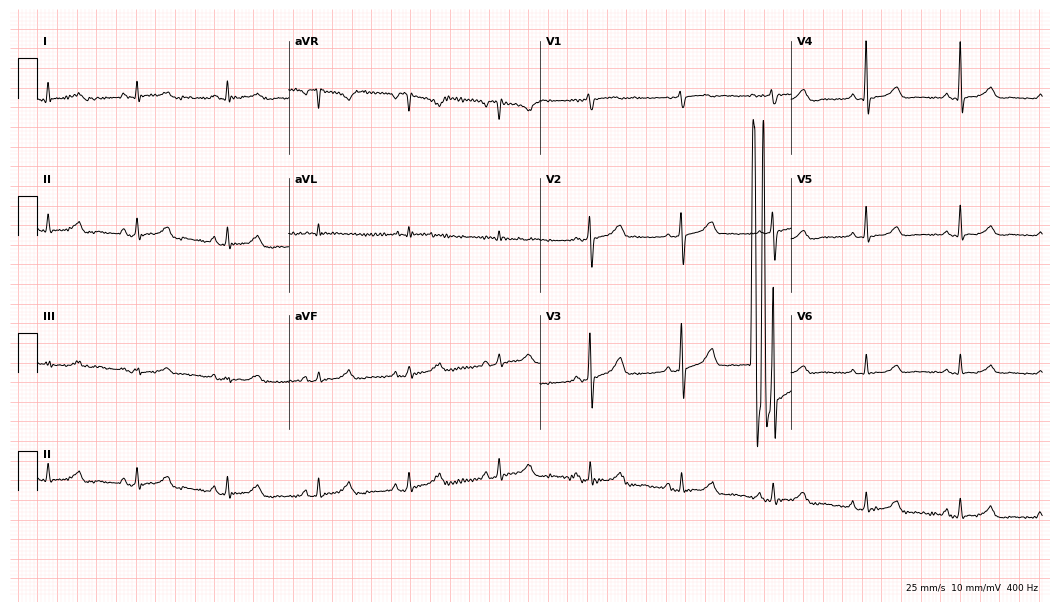
Electrocardiogram, a 65-year-old woman. Overall reading on record: normal ECG.